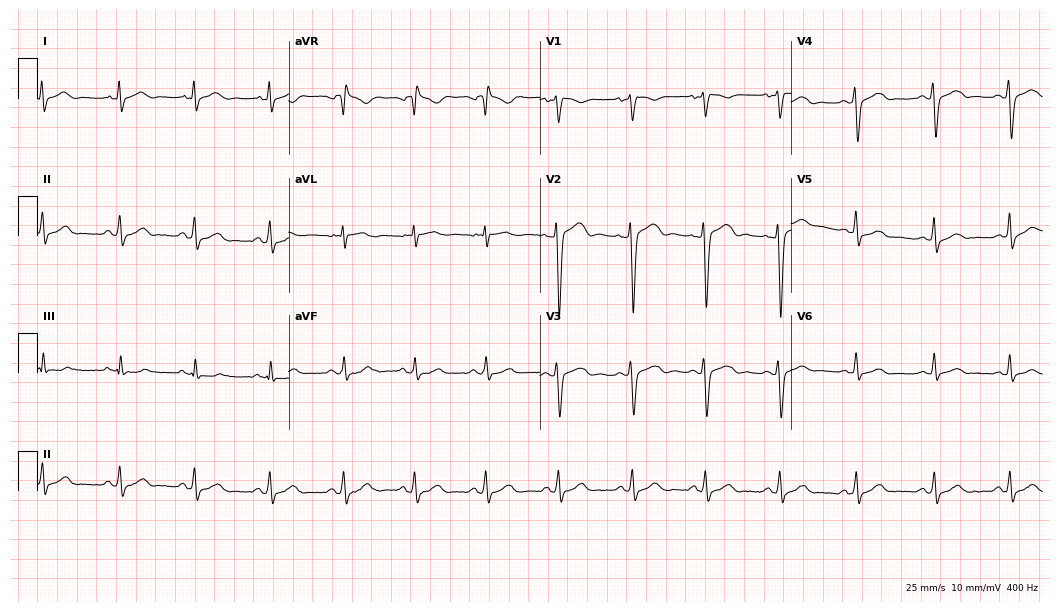
12-lead ECG (10.2-second recording at 400 Hz) from a 29-year-old male patient. Screened for six findings — first-degree AV block, right bundle branch block, left bundle branch block, sinus bradycardia, atrial fibrillation, sinus tachycardia — none is recorded. Only these six findings were labelled.